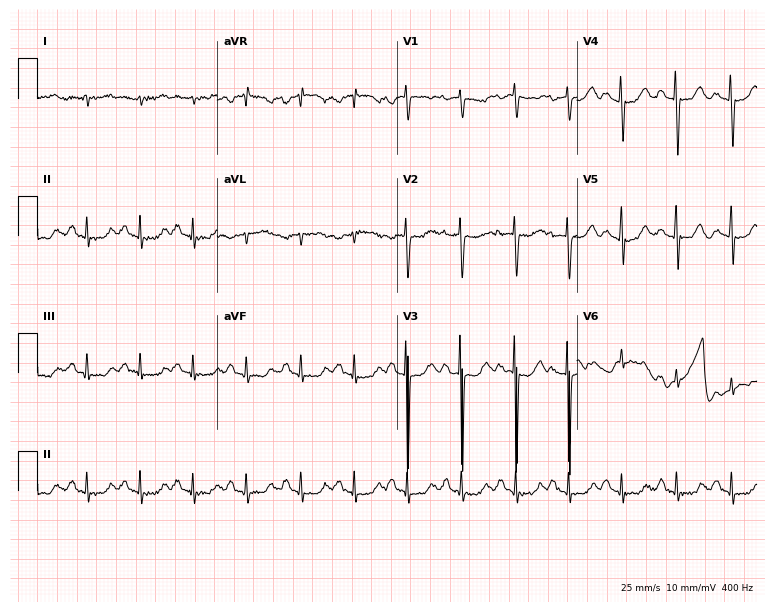
Resting 12-lead electrocardiogram. Patient: a 72-year-old female. None of these six findings is recorded: first-degree AV block, right bundle branch block, left bundle branch block, sinus bradycardia, atrial fibrillation, sinus tachycardia. Findings outside these six are not listed.